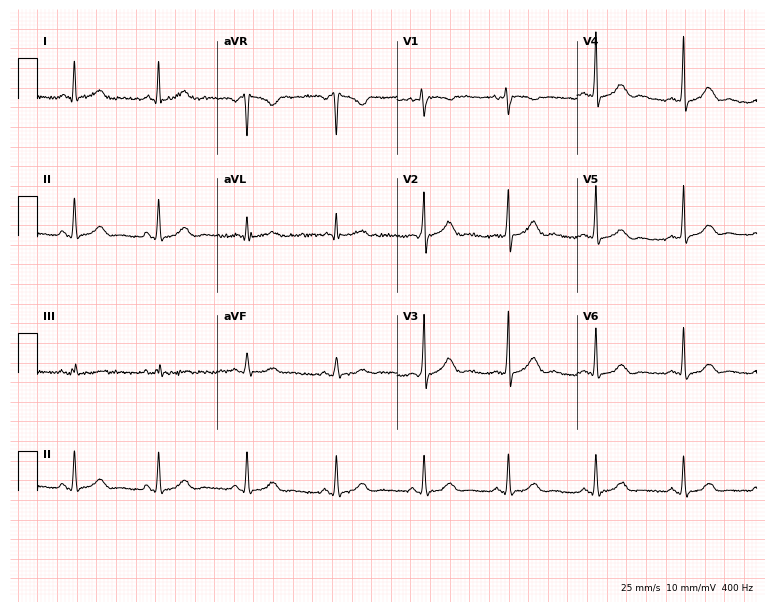
12-lead ECG from a female, 40 years old. Recorded interpretation: within normal limits.